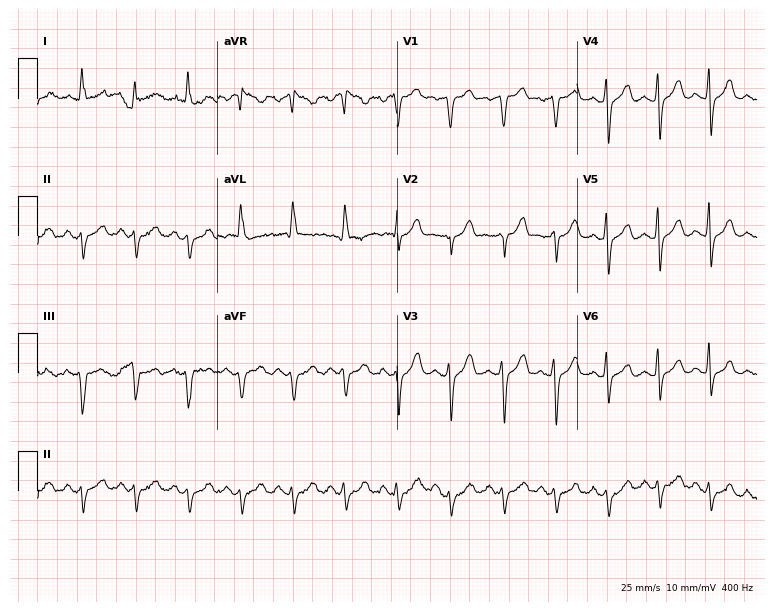
Resting 12-lead electrocardiogram. Patient: a 66-year-old female. The tracing shows sinus tachycardia (a sinus rate of 100 beats per minute or more).